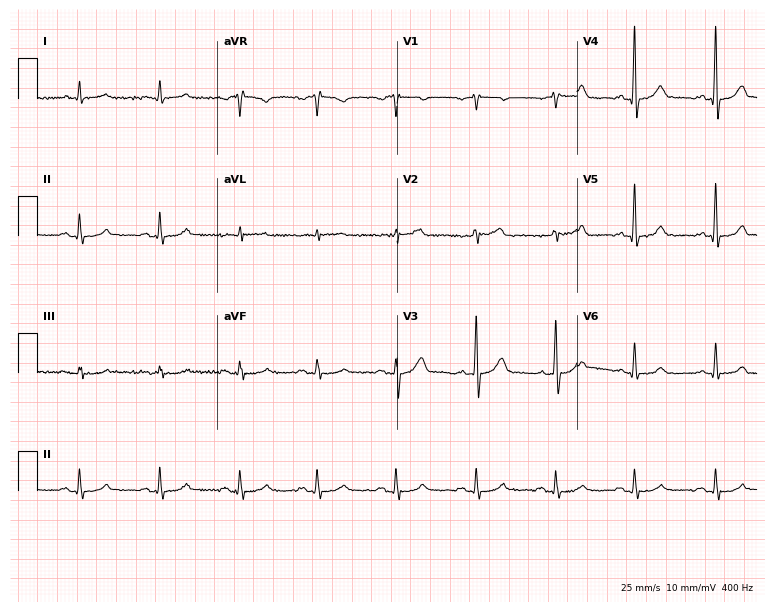
12-lead ECG (7.3-second recording at 400 Hz) from a male, 49 years old. Screened for six findings — first-degree AV block, right bundle branch block, left bundle branch block, sinus bradycardia, atrial fibrillation, sinus tachycardia — none is recorded.